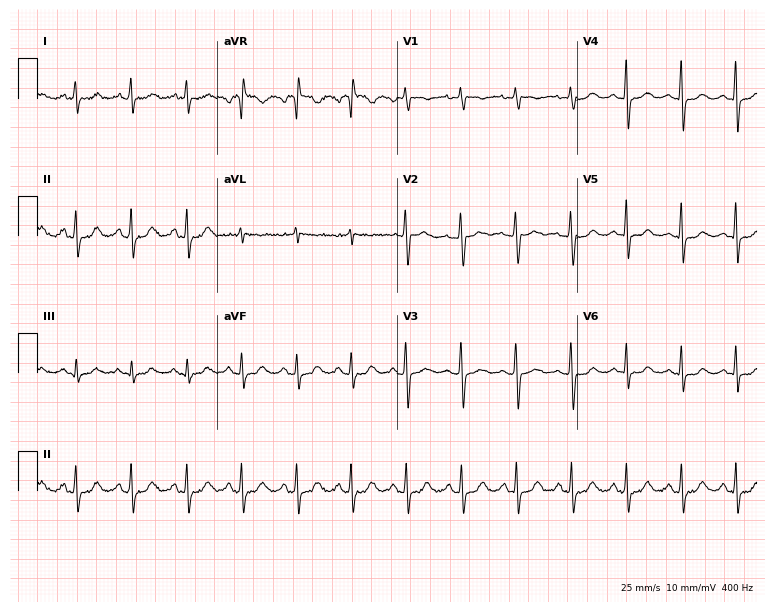
ECG (7.3-second recording at 400 Hz) — a female, 42 years old. Findings include sinus tachycardia (a sinus rate of 100 beats per minute or more).